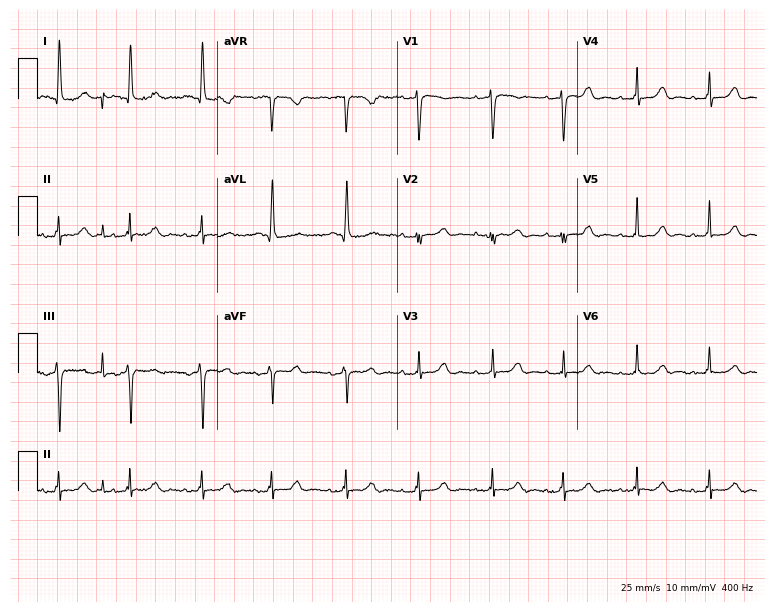
Resting 12-lead electrocardiogram (7.3-second recording at 400 Hz). Patient: a woman, 74 years old. Read as a normal ECG.